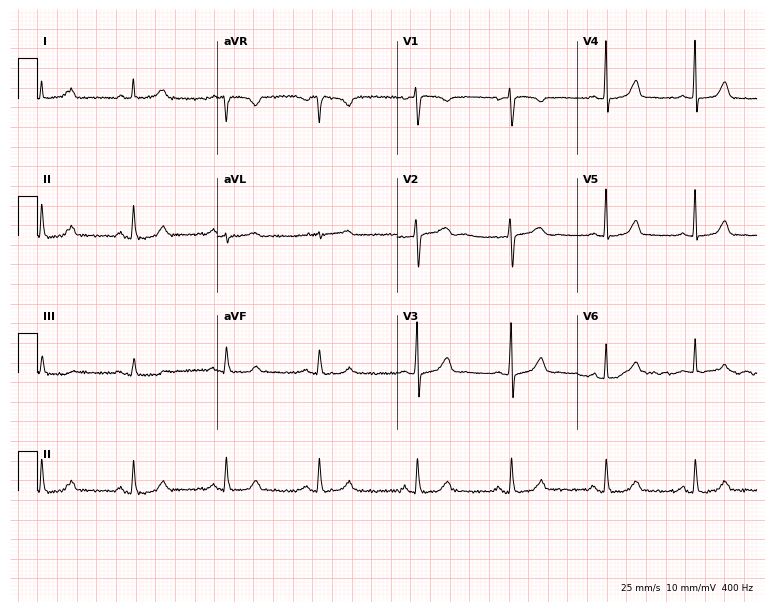
12-lead ECG from a 42-year-old female patient (7.3-second recording at 400 Hz). No first-degree AV block, right bundle branch block (RBBB), left bundle branch block (LBBB), sinus bradycardia, atrial fibrillation (AF) or sinus tachycardia recorded for this tracing.